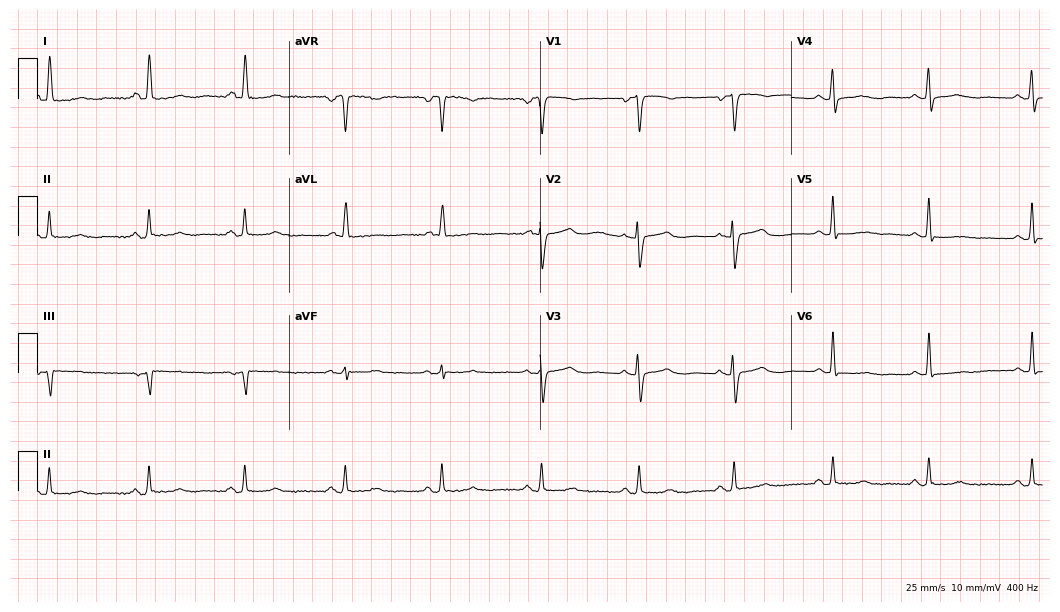
12-lead ECG from a 55-year-old female patient. No first-degree AV block, right bundle branch block, left bundle branch block, sinus bradycardia, atrial fibrillation or sinus tachycardia recorded for this tracing.